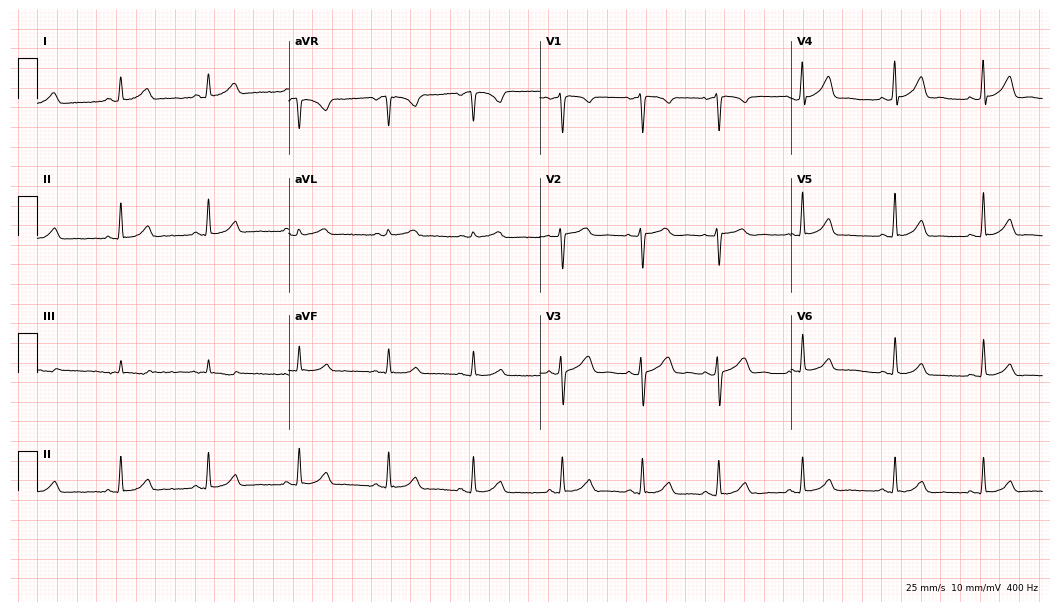
ECG — a 34-year-old woman. Screened for six findings — first-degree AV block, right bundle branch block (RBBB), left bundle branch block (LBBB), sinus bradycardia, atrial fibrillation (AF), sinus tachycardia — none is recorded.